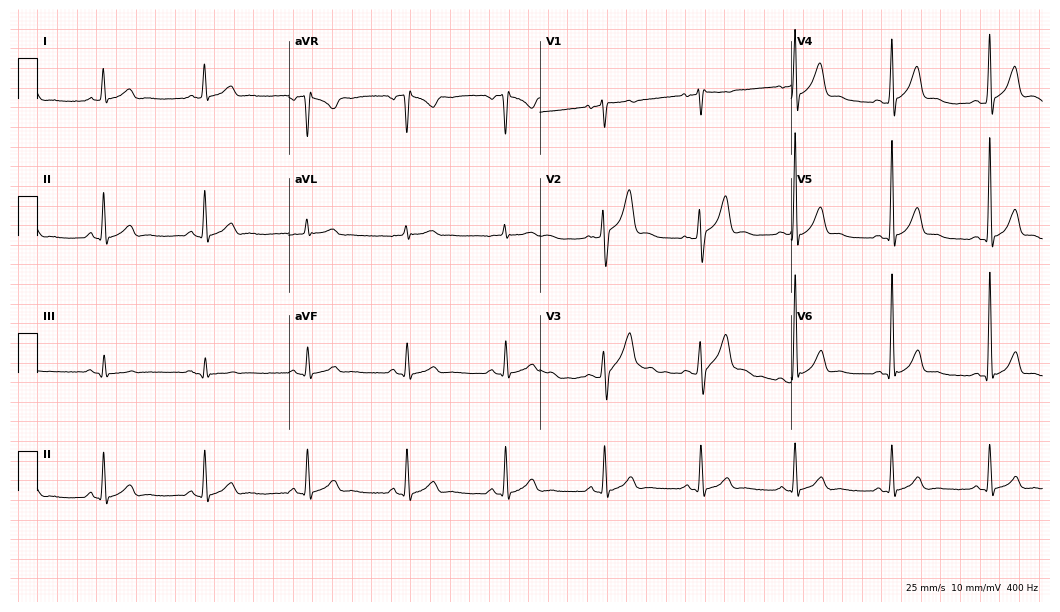
12-lead ECG from a 42-year-old male. Screened for six findings — first-degree AV block, right bundle branch block, left bundle branch block, sinus bradycardia, atrial fibrillation, sinus tachycardia — none is recorded. Findings outside these six are not listed.